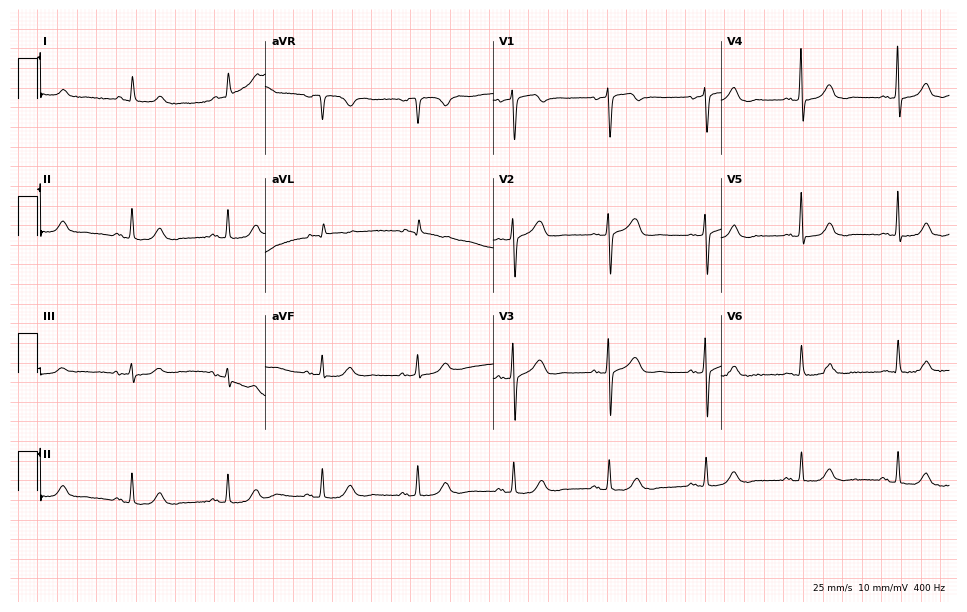
12-lead ECG (9.3-second recording at 400 Hz) from a female patient, 81 years old. Labelled as a normal ECG.